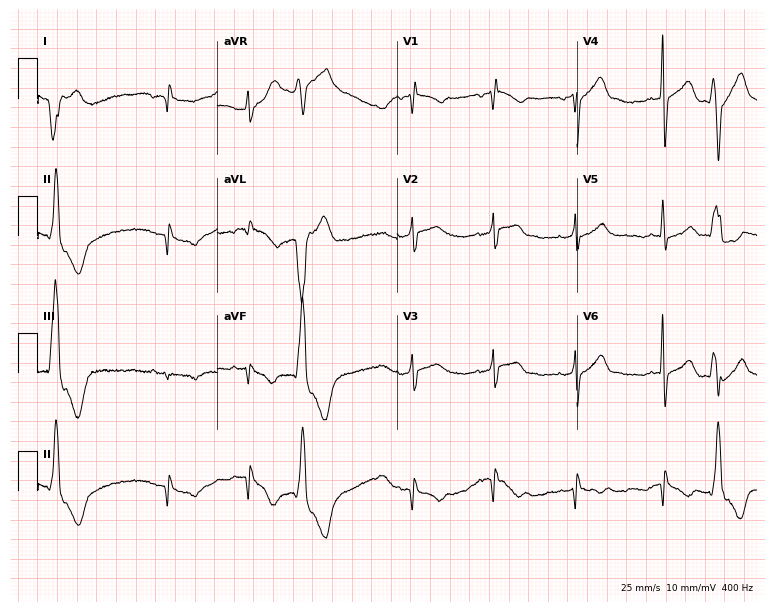
Resting 12-lead electrocardiogram. Patient: a 66-year-old man. None of these six findings is recorded: first-degree AV block, right bundle branch block, left bundle branch block, sinus bradycardia, atrial fibrillation, sinus tachycardia. Findings outside these six are not listed.